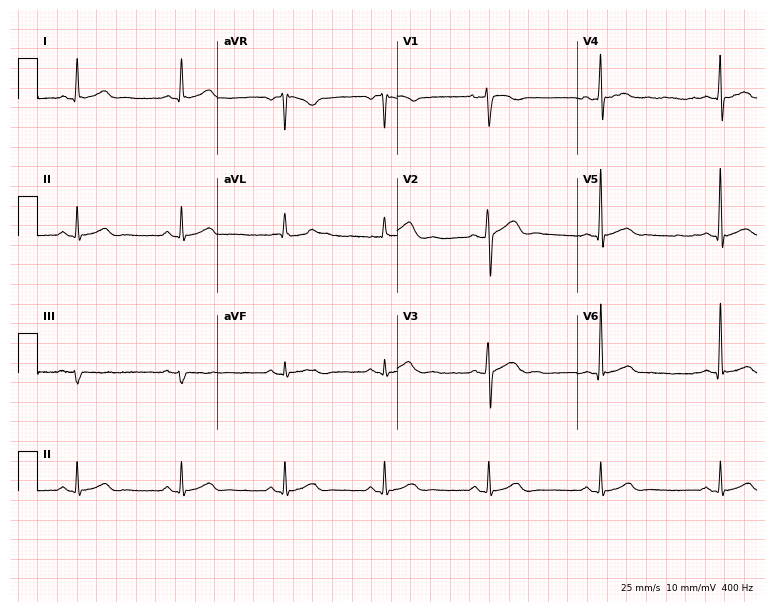
12-lead ECG from a 29-year-old male patient. Recorded interpretation: within normal limits.